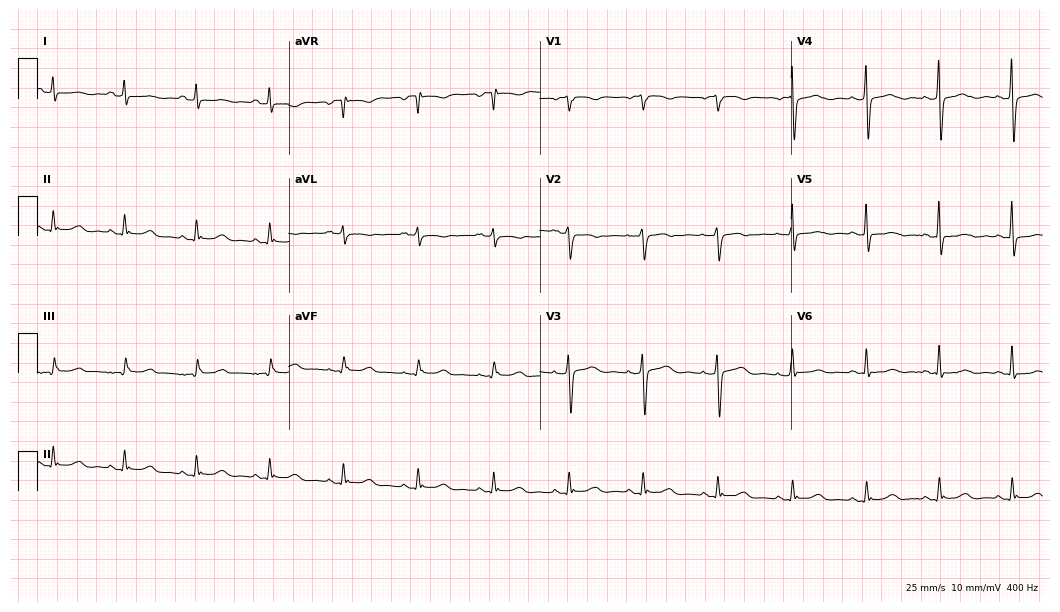
Standard 12-lead ECG recorded from a woman, 62 years old. Read as a normal ECG.